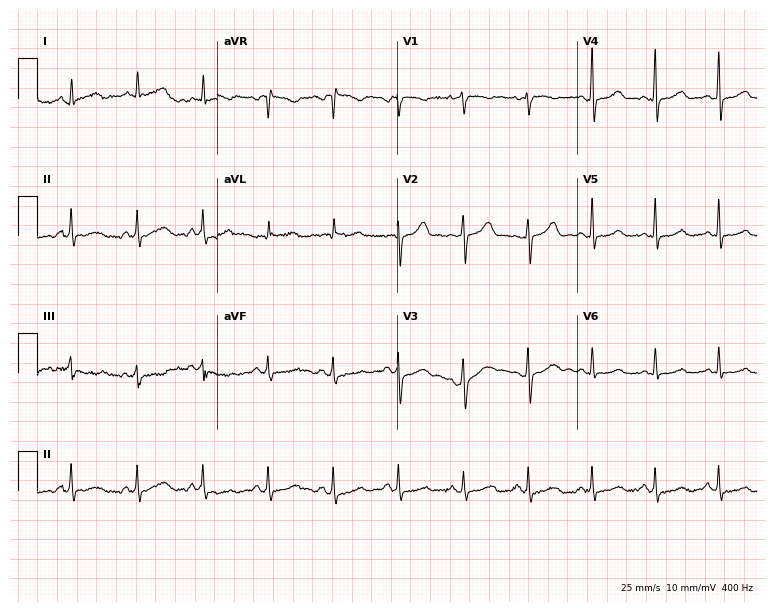
12-lead ECG from a 42-year-old female. Labelled as a normal ECG.